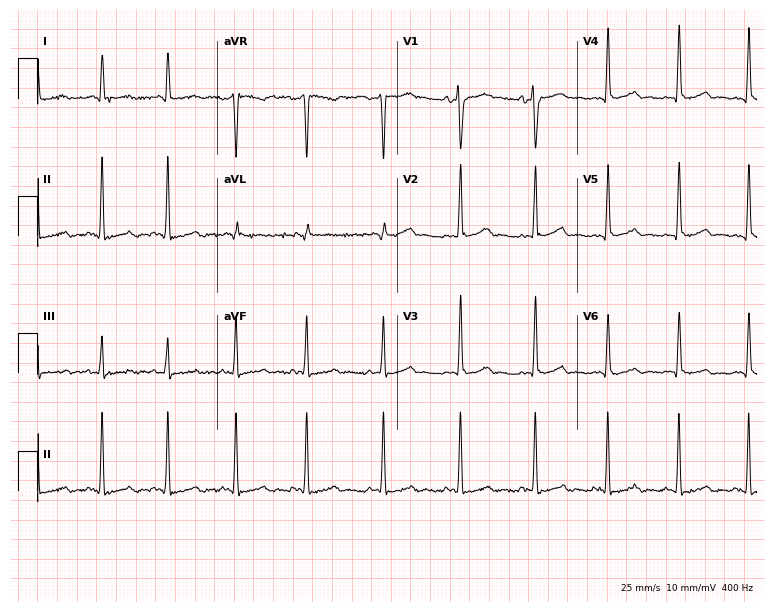
Standard 12-lead ECG recorded from a 54-year-old man. None of these six findings is recorded: first-degree AV block, right bundle branch block (RBBB), left bundle branch block (LBBB), sinus bradycardia, atrial fibrillation (AF), sinus tachycardia.